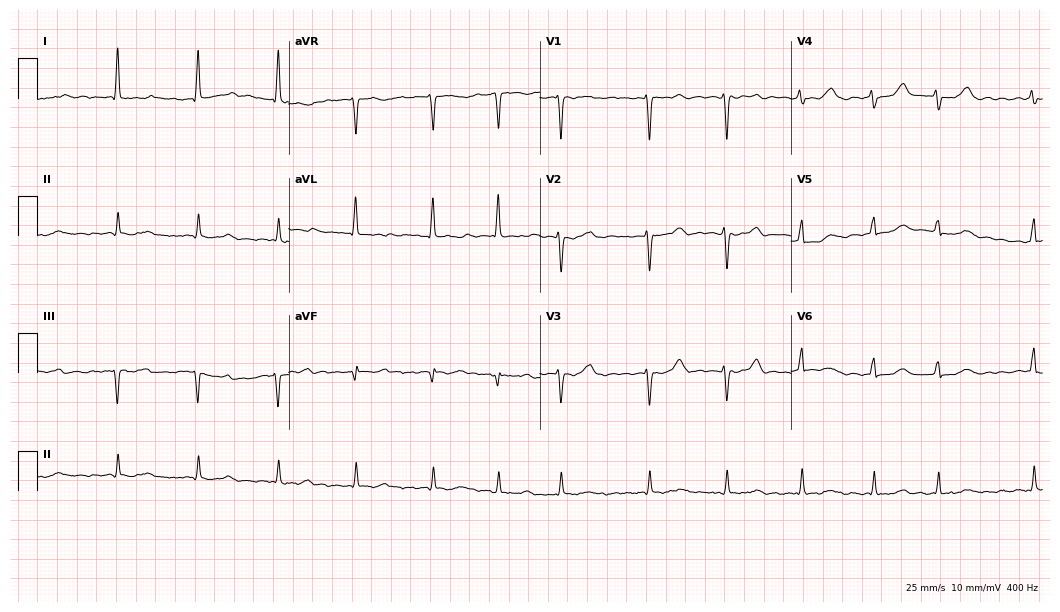
Electrocardiogram (10.2-second recording at 400 Hz), a woman, 84 years old. Interpretation includes atrial fibrillation (AF).